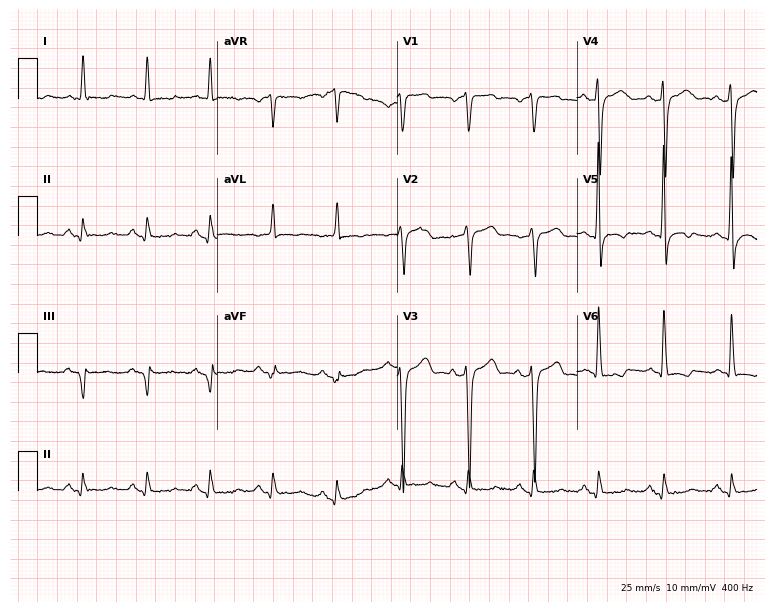
Standard 12-lead ECG recorded from a man, 56 years old. None of these six findings is recorded: first-degree AV block, right bundle branch block, left bundle branch block, sinus bradycardia, atrial fibrillation, sinus tachycardia.